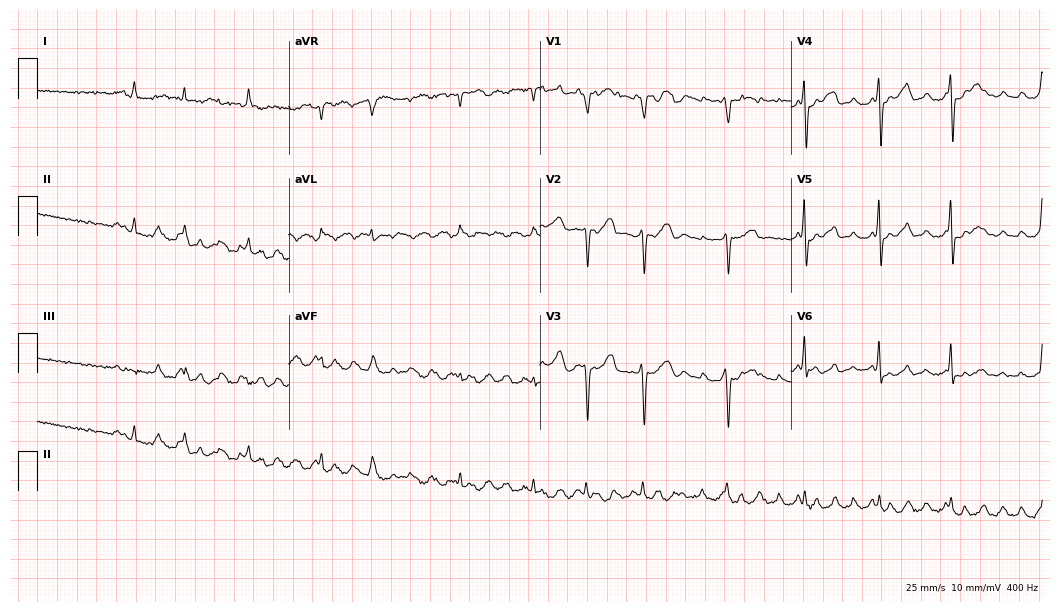
12-lead ECG (10.2-second recording at 400 Hz) from a male patient, 74 years old. Findings include atrial fibrillation.